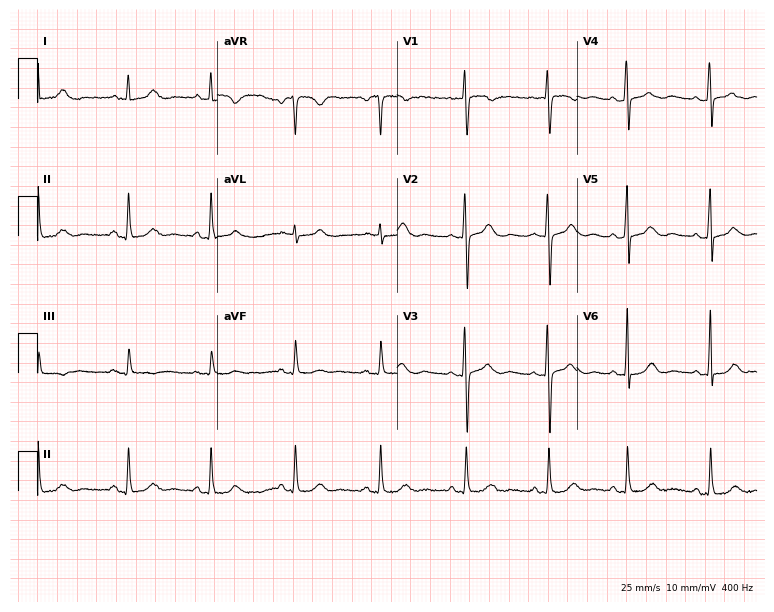
Electrocardiogram, a female, 36 years old. Overall reading on record: normal ECG.